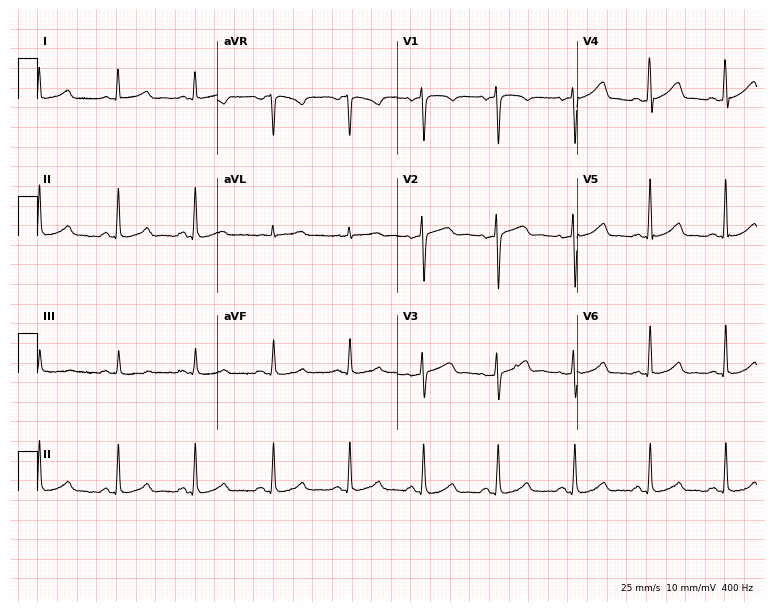
Resting 12-lead electrocardiogram. Patient: a 35-year-old female. Read as a normal ECG.